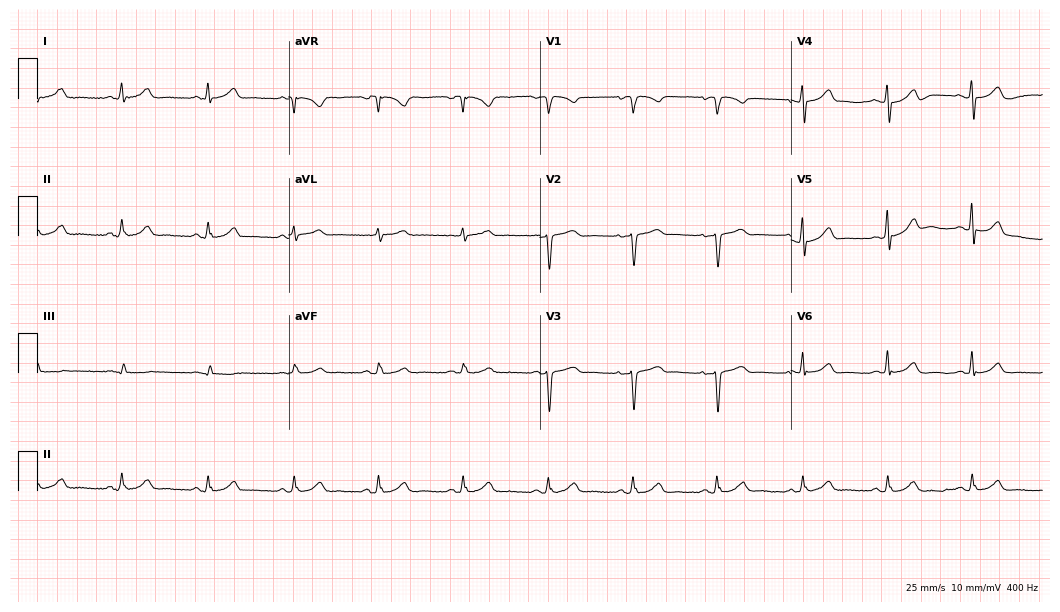
ECG (10.2-second recording at 400 Hz) — a 51-year-old female. Labelled as a normal ECG.